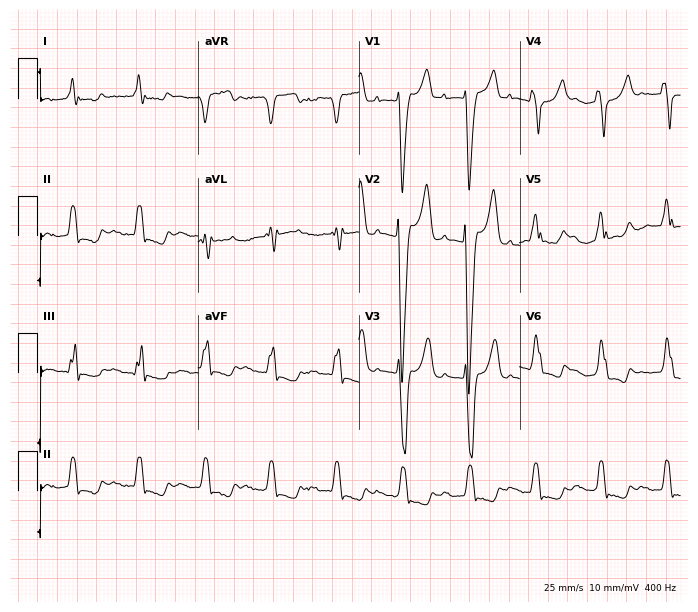
Electrocardiogram (6.6-second recording at 400 Hz), a 77-year-old female patient. Of the six screened findings (first-degree AV block, right bundle branch block, left bundle branch block, sinus bradycardia, atrial fibrillation, sinus tachycardia), none is recorded.